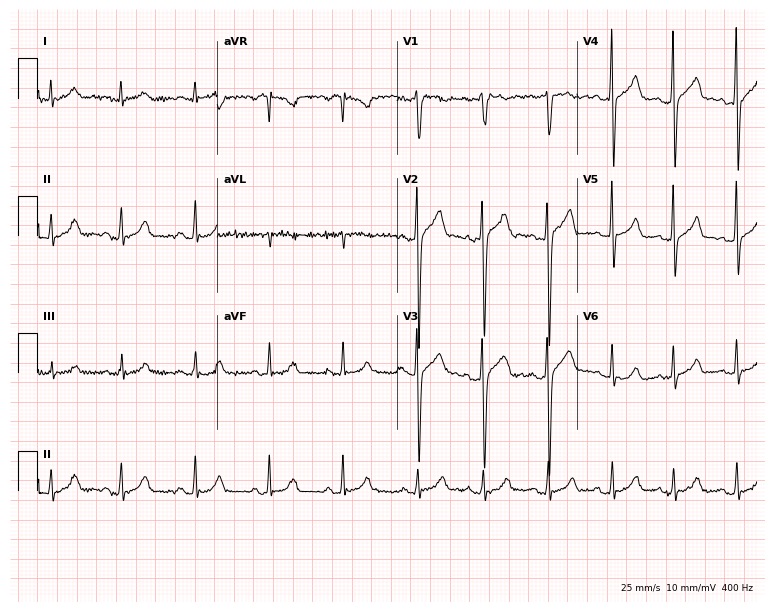
Standard 12-lead ECG recorded from a male, 18 years old (7.3-second recording at 400 Hz). Read as a normal ECG.